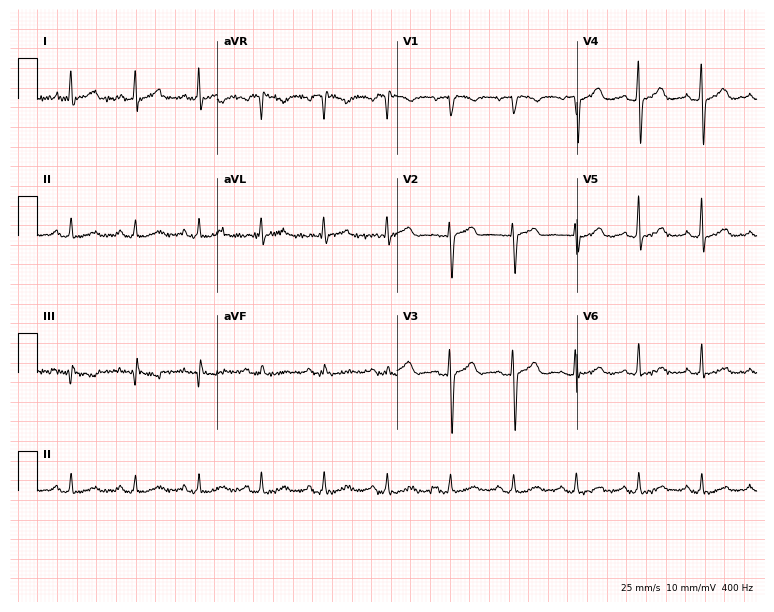
12-lead ECG from a 61-year-old female patient. Labelled as a normal ECG.